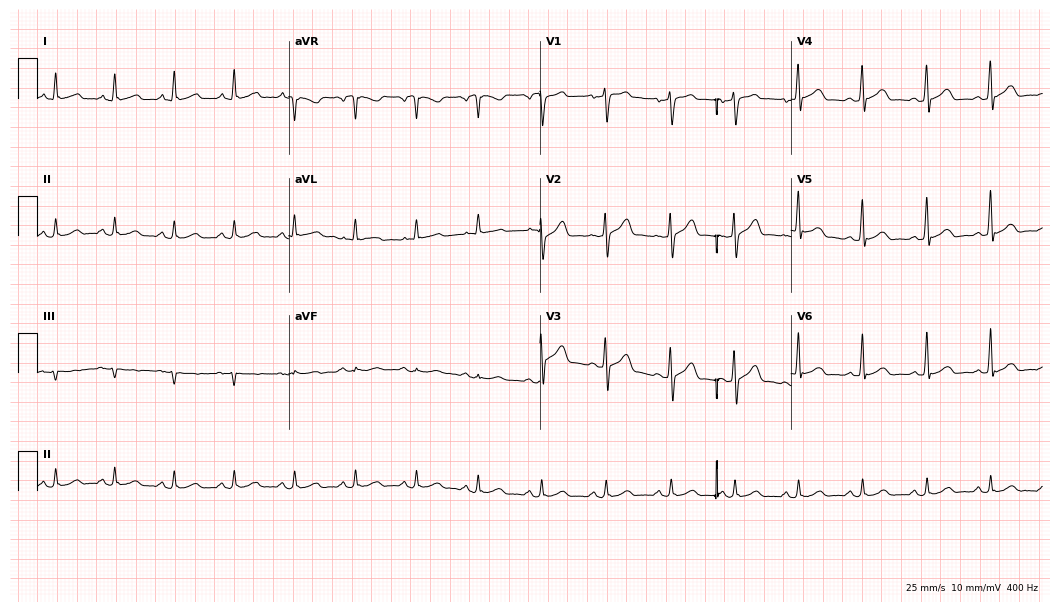
12-lead ECG from a man, 41 years old. Labelled as a normal ECG.